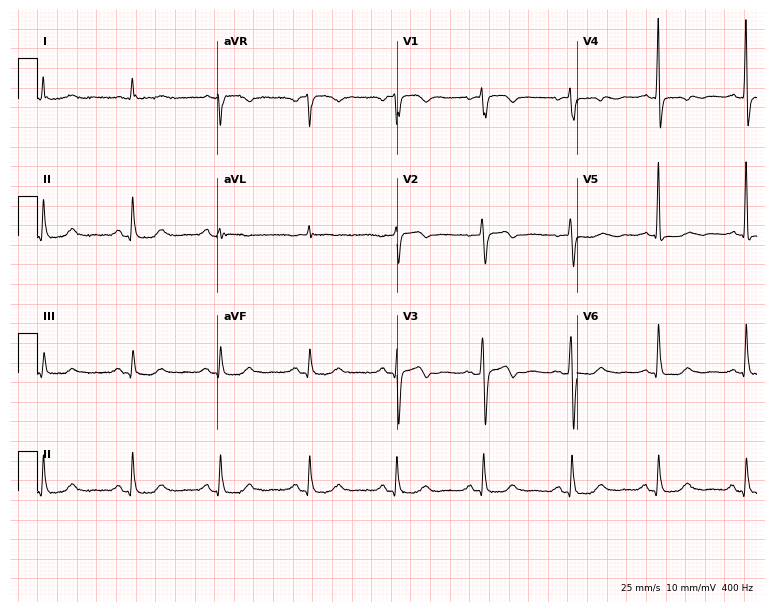
12-lead ECG from a woman, 83 years old (7.3-second recording at 400 Hz). No first-degree AV block, right bundle branch block (RBBB), left bundle branch block (LBBB), sinus bradycardia, atrial fibrillation (AF) or sinus tachycardia recorded for this tracing.